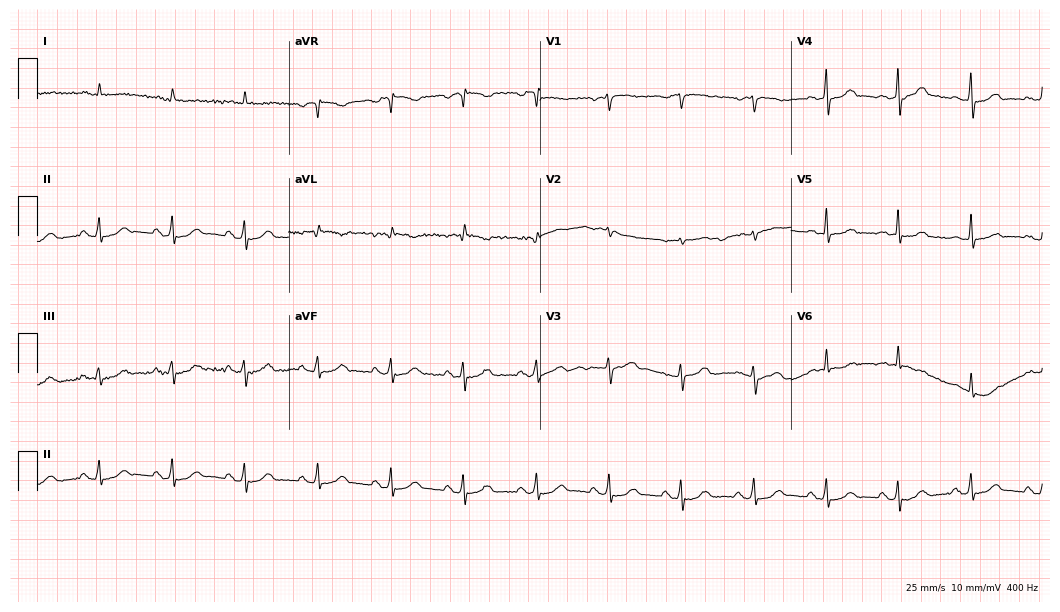
Standard 12-lead ECG recorded from a 77-year-old male (10.2-second recording at 400 Hz). None of these six findings is recorded: first-degree AV block, right bundle branch block (RBBB), left bundle branch block (LBBB), sinus bradycardia, atrial fibrillation (AF), sinus tachycardia.